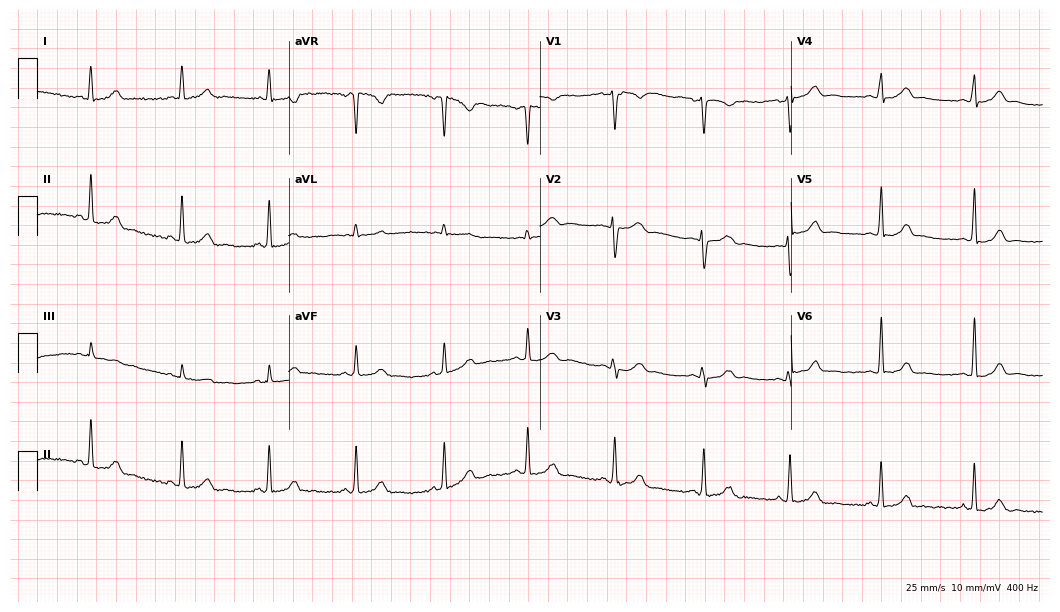
Electrocardiogram, a 28-year-old female. Overall reading on record: normal ECG.